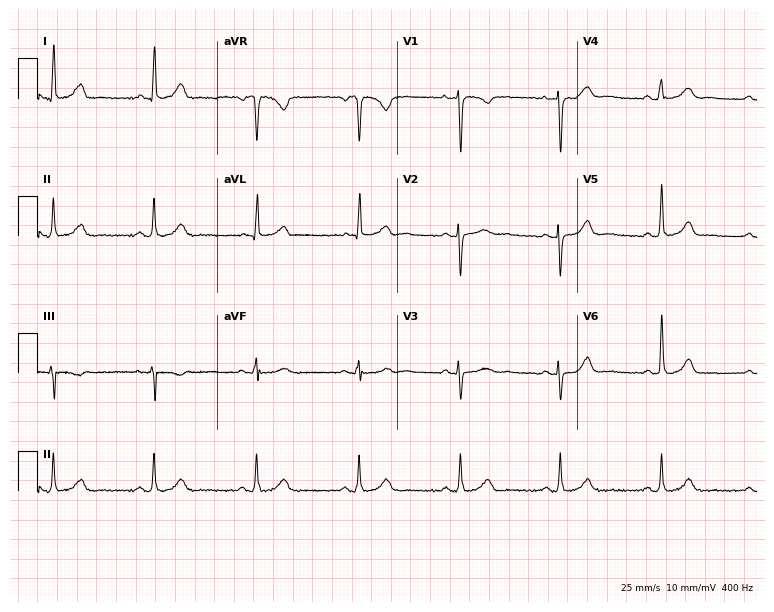
Electrocardiogram, a female, 49 years old. Overall reading on record: normal ECG.